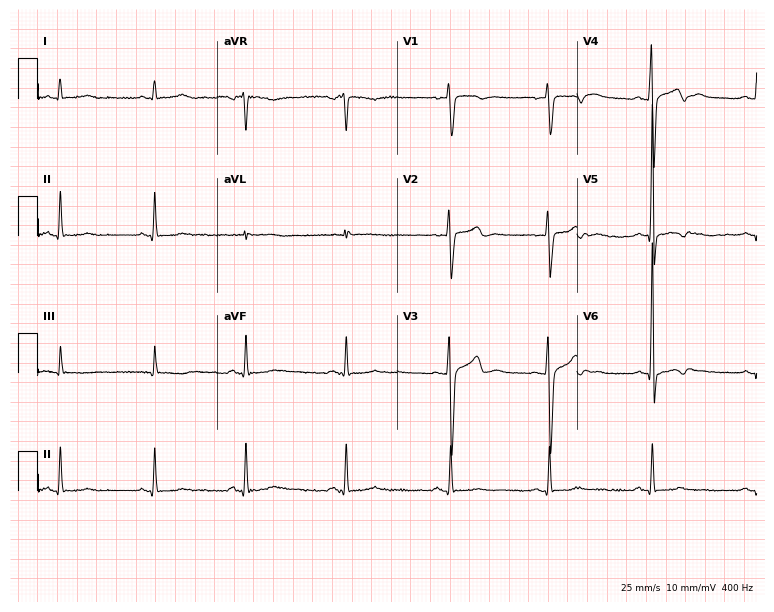
Electrocardiogram (7.3-second recording at 400 Hz), a male patient, 24 years old. Overall reading on record: normal ECG.